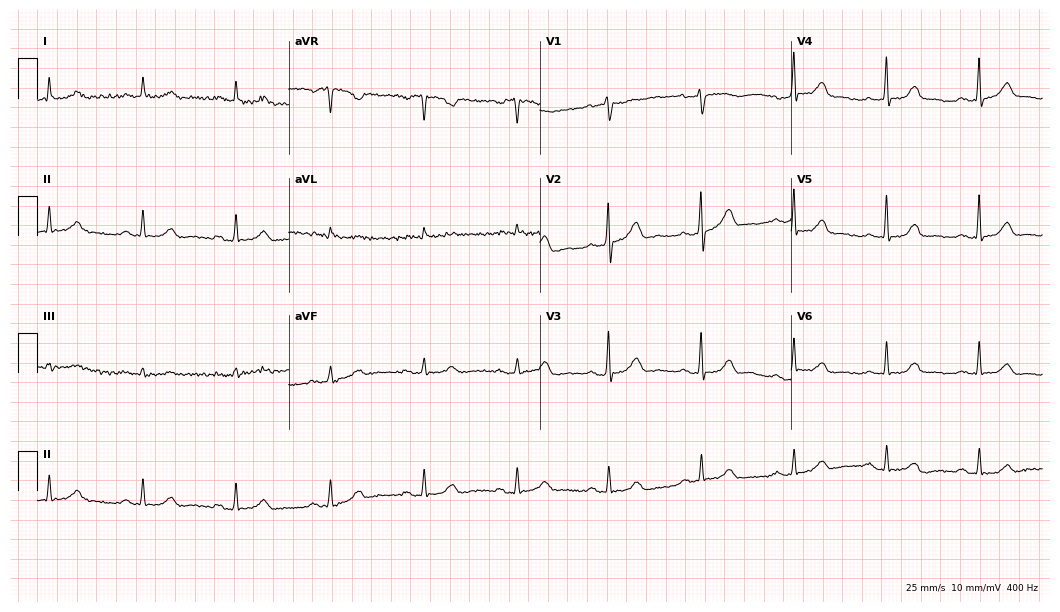
Standard 12-lead ECG recorded from a female patient, 60 years old (10.2-second recording at 400 Hz). Read as a normal ECG.